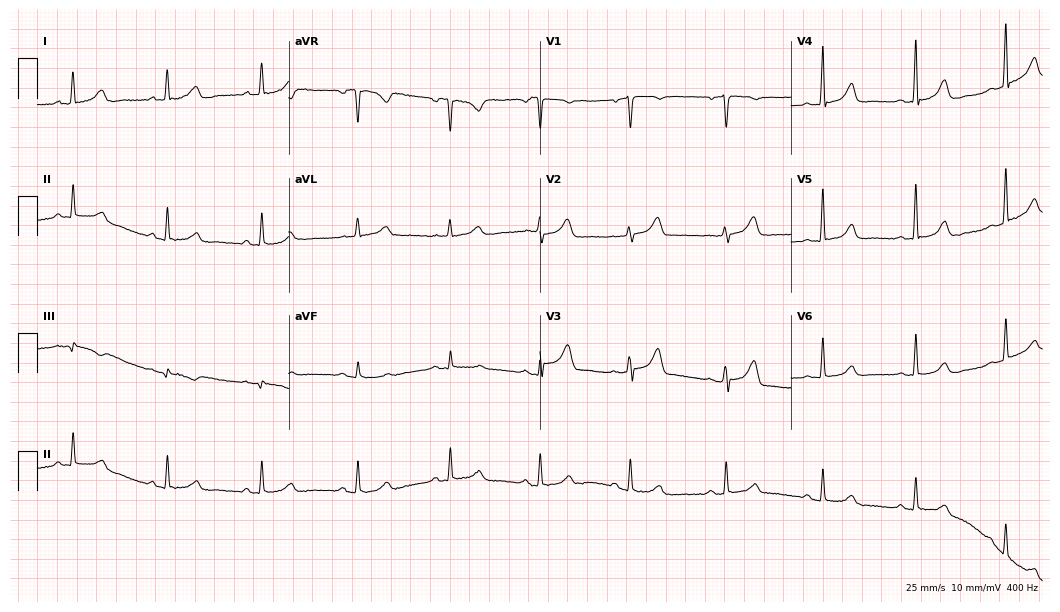
ECG (10.2-second recording at 400 Hz) — a female, 60 years old. Screened for six findings — first-degree AV block, right bundle branch block (RBBB), left bundle branch block (LBBB), sinus bradycardia, atrial fibrillation (AF), sinus tachycardia — none is recorded.